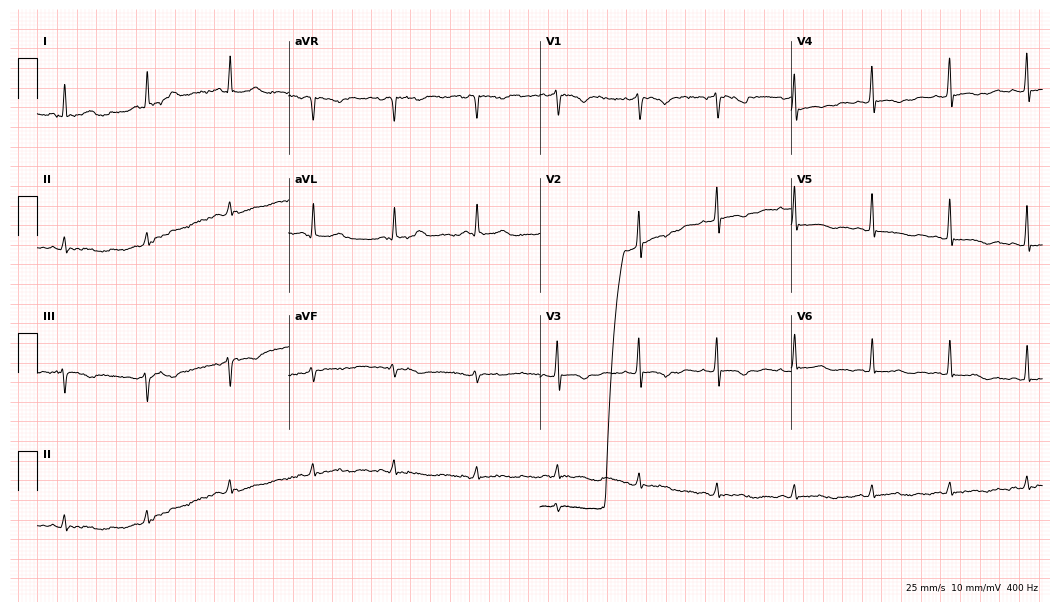
Electrocardiogram, a 59-year-old female patient. Of the six screened findings (first-degree AV block, right bundle branch block (RBBB), left bundle branch block (LBBB), sinus bradycardia, atrial fibrillation (AF), sinus tachycardia), none is recorded. Only these six findings were labelled.